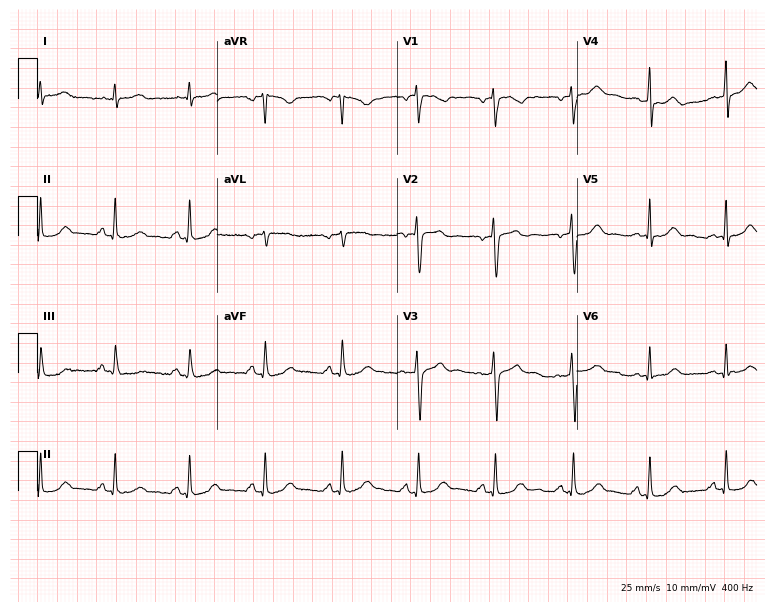
ECG — a female patient, 30 years old. Labelled as a normal ECG.